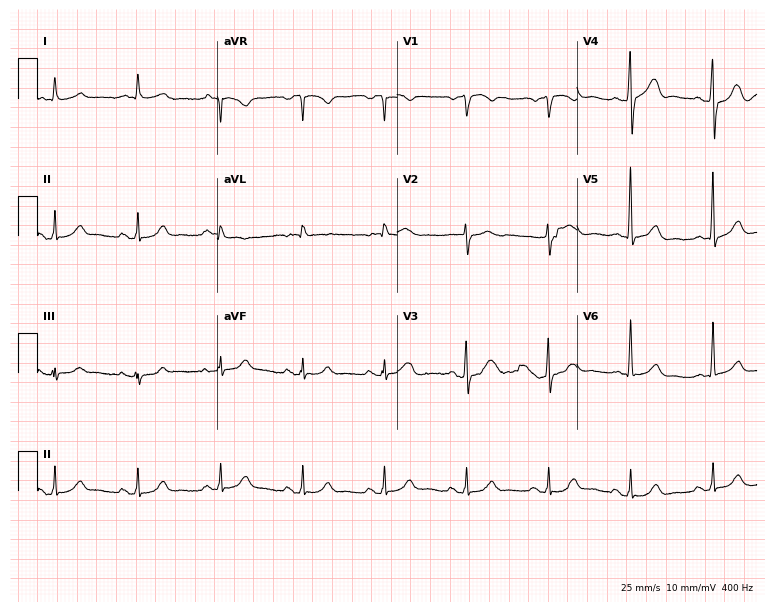
Resting 12-lead electrocardiogram. Patient: a 77-year-old man. Read as a normal ECG.